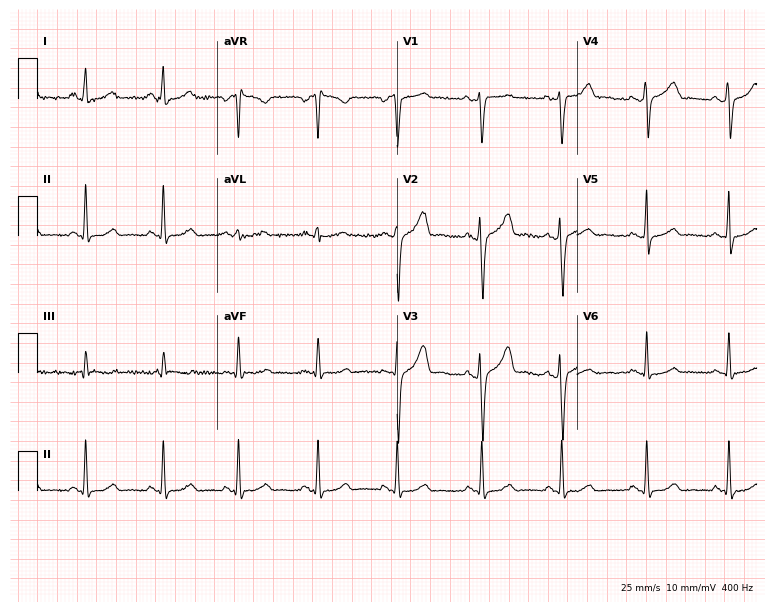
Resting 12-lead electrocardiogram (7.3-second recording at 400 Hz). Patient: a female, 33 years old. Read as a normal ECG.